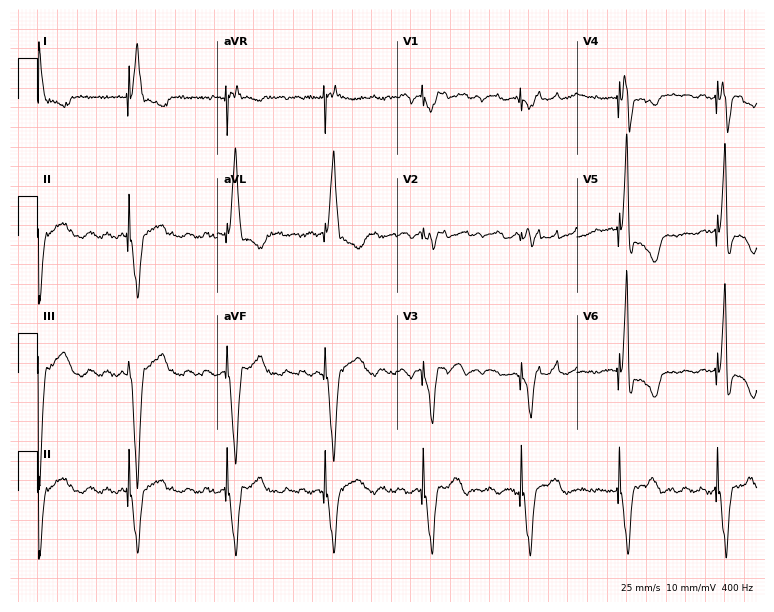
Resting 12-lead electrocardiogram (7.3-second recording at 400 Hz). Patient: a 75-year-old female. None of these six findings is recorded: first-degree AV block, right bundle branch block, left bundle branch block, sinus bradycardia, atrial fibrillation, sinus tachycardia.